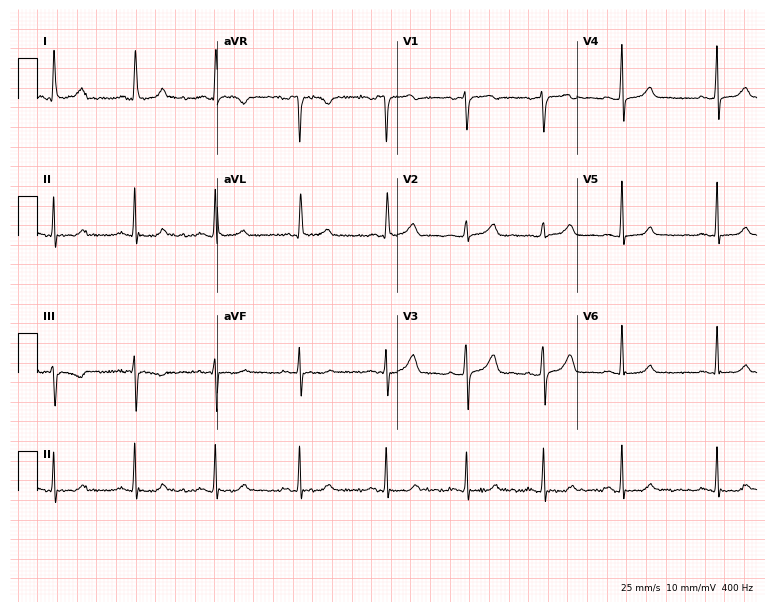
ECG (7.3-second recording at 400 Hz) — a female patient, 29 years old. Labelled as a normal ECG.